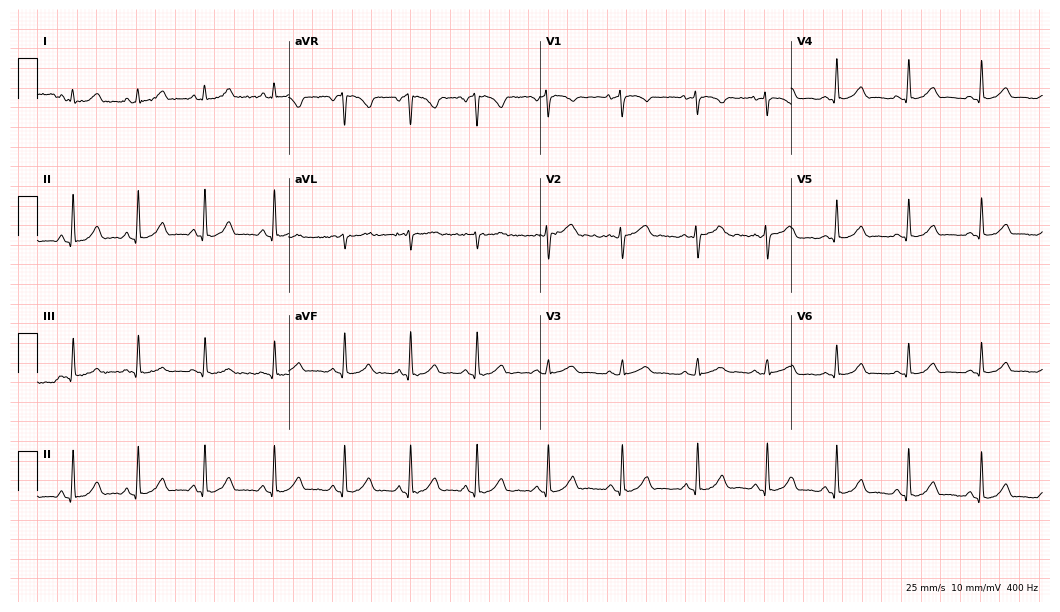
Resting 12-lead electrocardiogram. Patient: a female, 42 years old. Read as a normal ECG.